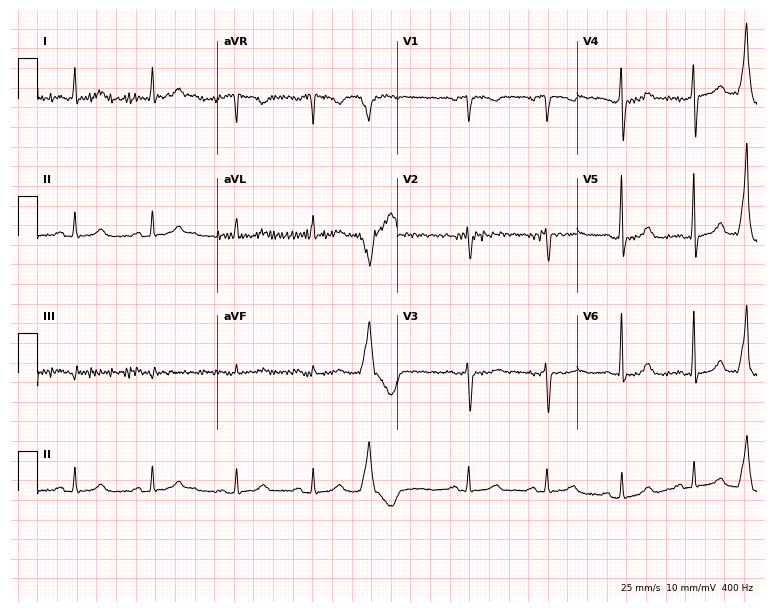
12-lead ECG from a 59-year-old female. No first-degree AV block, right bundle branch block, left bundle branch block, sinus bradycardia, atrial fibrillation or sinus tachycardia recorded for this tracing. Other findings, if any, are not listed.